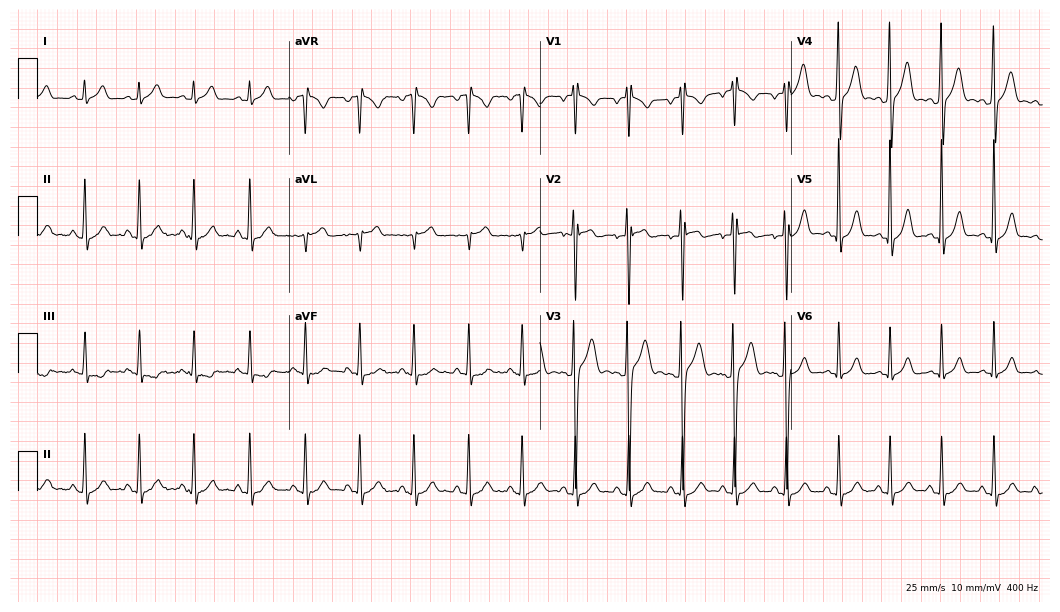
12-lead ECG from a 19-year-old male. No first-degree AV block, right bundle branch block, left bundle branch block, sinus bradycardia, atrial fibrillation or sinus tachycardia recorded for this tracing. Findings outside these six are not listed.